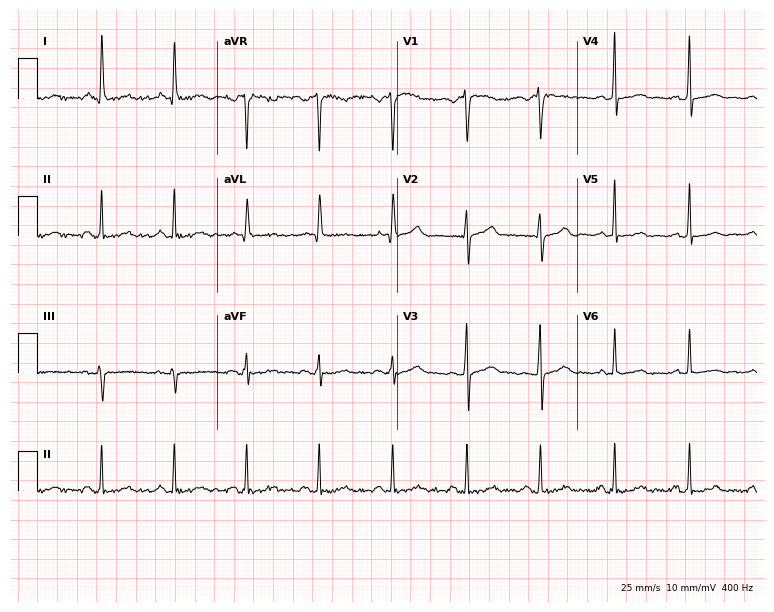
12-lead ECG from a male patient, 54 years old (7.3-second recording at 400 Hz). No first-degree AV block, right bundle branch block, left bundle branch block, sinus bradycardia, atrial fibrillation or sinus tachycardia recorded for this tracing.